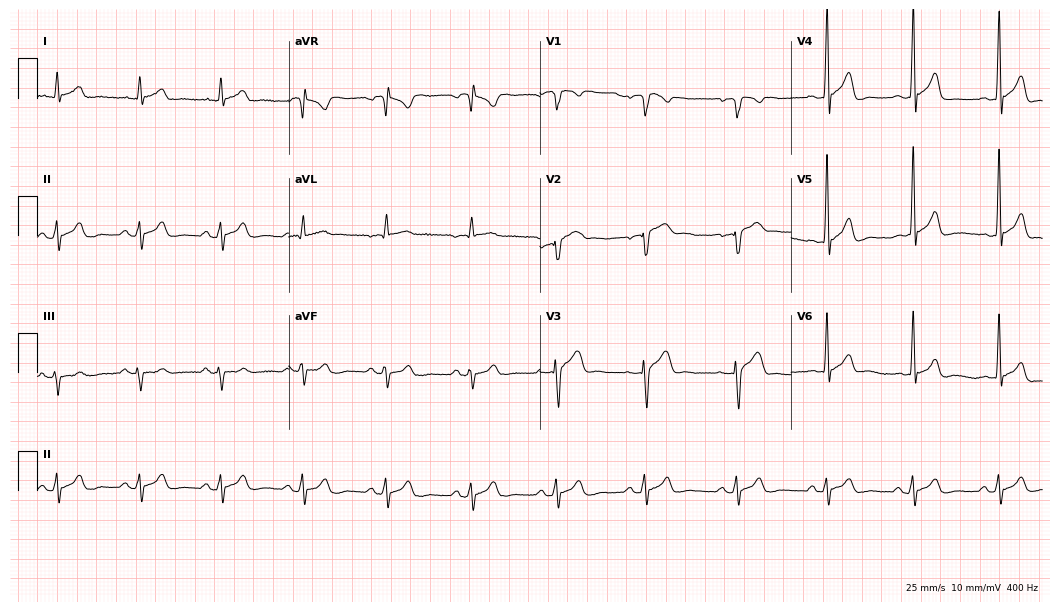
Standard 12-lead ECG recorded from a man, 38 years old. Read as a normal ECG.